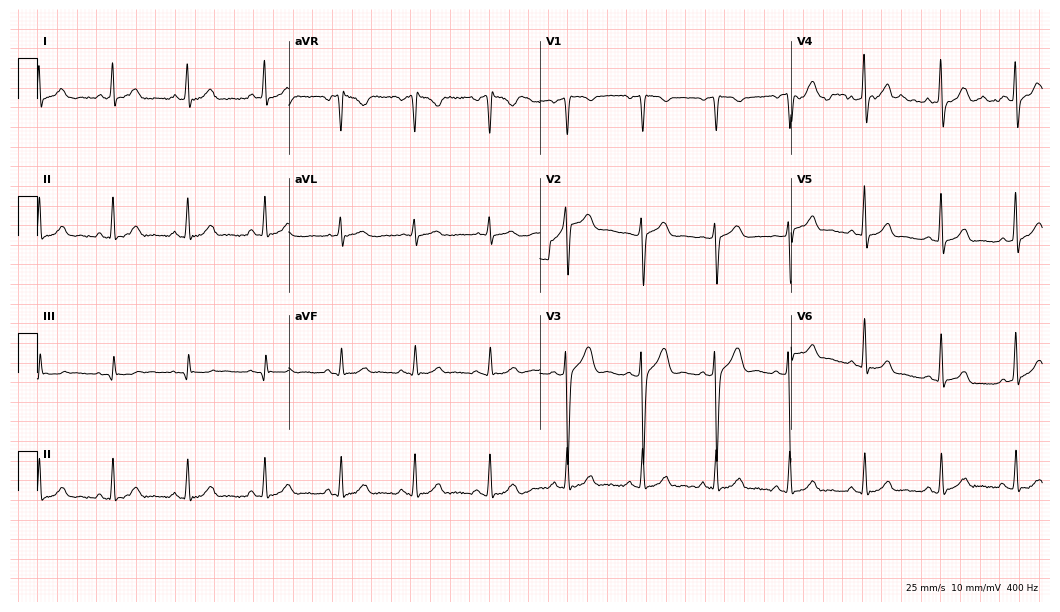
Electrocardiogram (10.2-second recording at 400 Hz), a man, 53 years old. Overall reading on record: normal ECG.